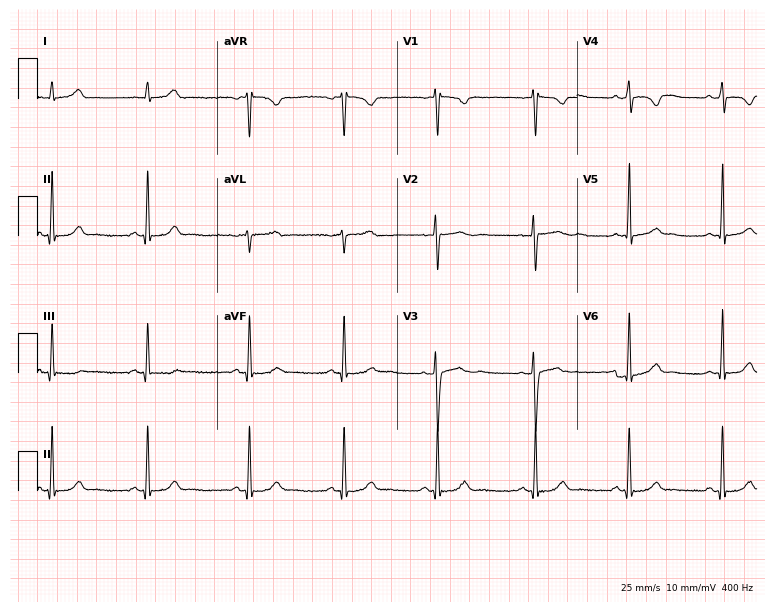
12-lead ECG from a 21-year-old woman. Screened for six findings — first-degree AV block, right bundle branch block, left bundle branch block, sinus bradycardia, atrial fibrillation, sinus tachycardia — none is recorded.